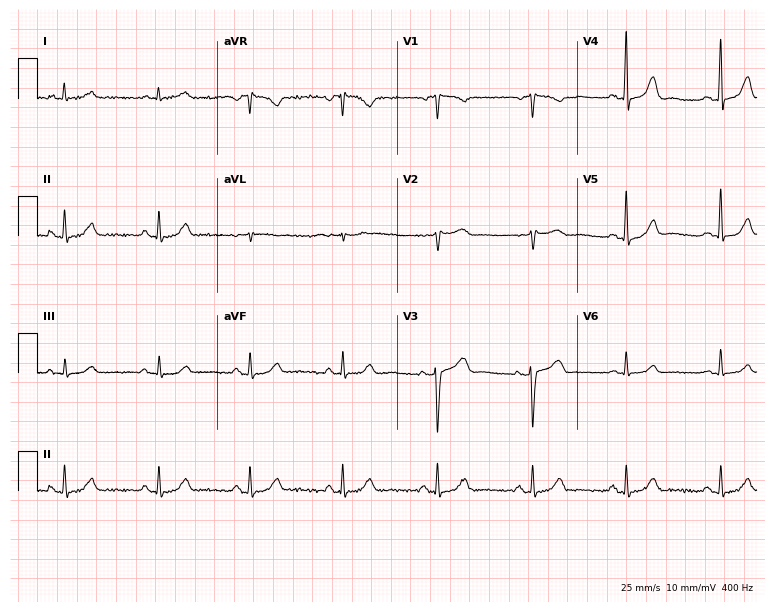
Resting 12-lead electrocardiogram (7.3-second recording at 400 Hz). Patient: a female, 70 years old. None of these six findings is recorded: first-degree AV block, right bundle branch block, left bundle branch block, sinus bradycardia, atrial fibrillation, sinus tachycardia. Other findings, if any, are not listed.